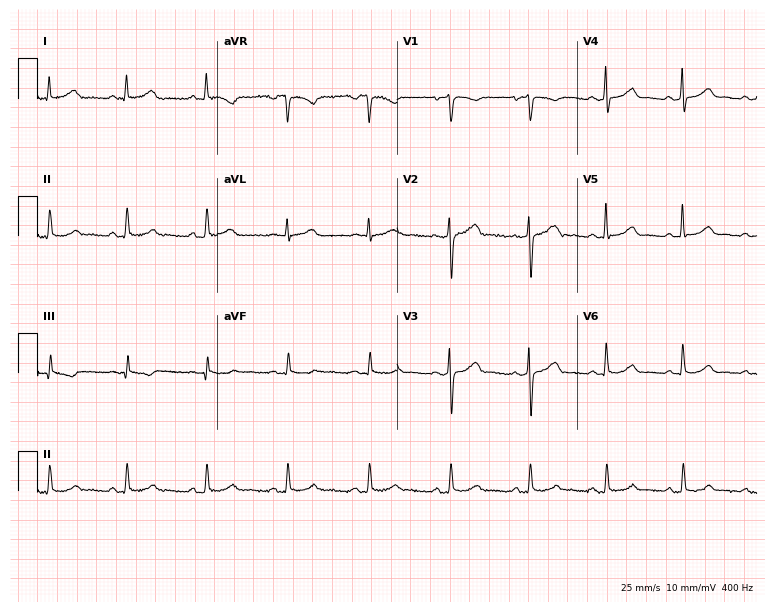
ECG (7.3-second recording at 400 Hz) — a woman, 47 years old. Labelled as a normal ECG.